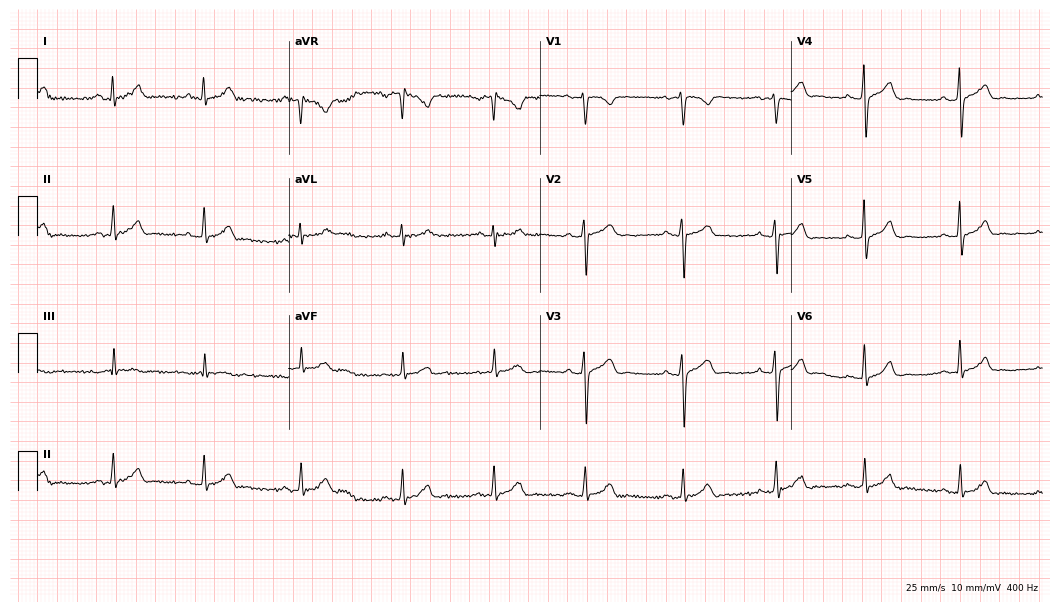
Electrocardiogram (10.2-second recording at 400 Hz), a 22-year-old man. Overall reading on record: normal ECG.